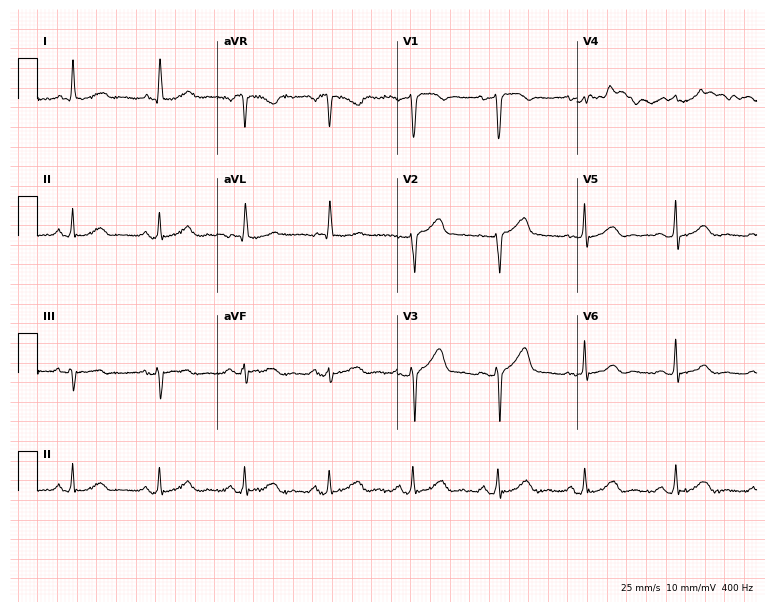
12-lead ECG from a 61-year-old woman (7.3-second recording at 400 Hz). Recorded interpretation: within normal limits.